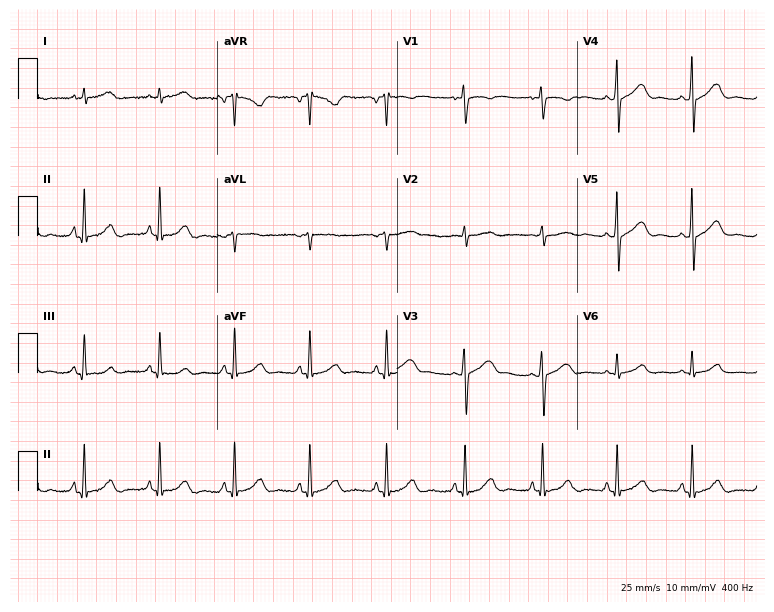
12-lead ECG from a 42-year-old female. Labelled as a normal ECG.